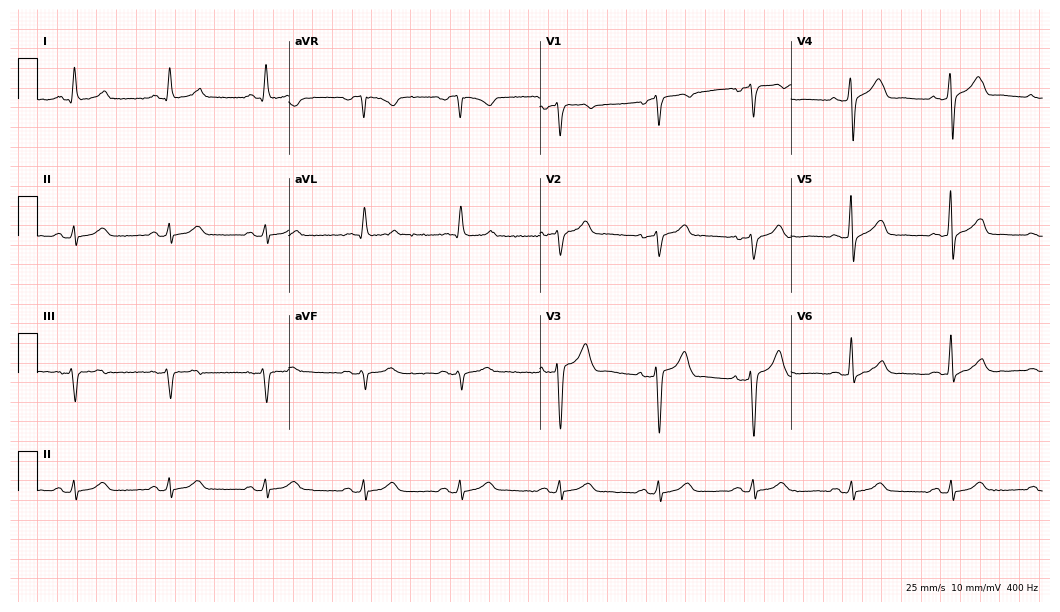
Electrocardiogram, a man, 63 years old. Overall reading on record: normal ECG.